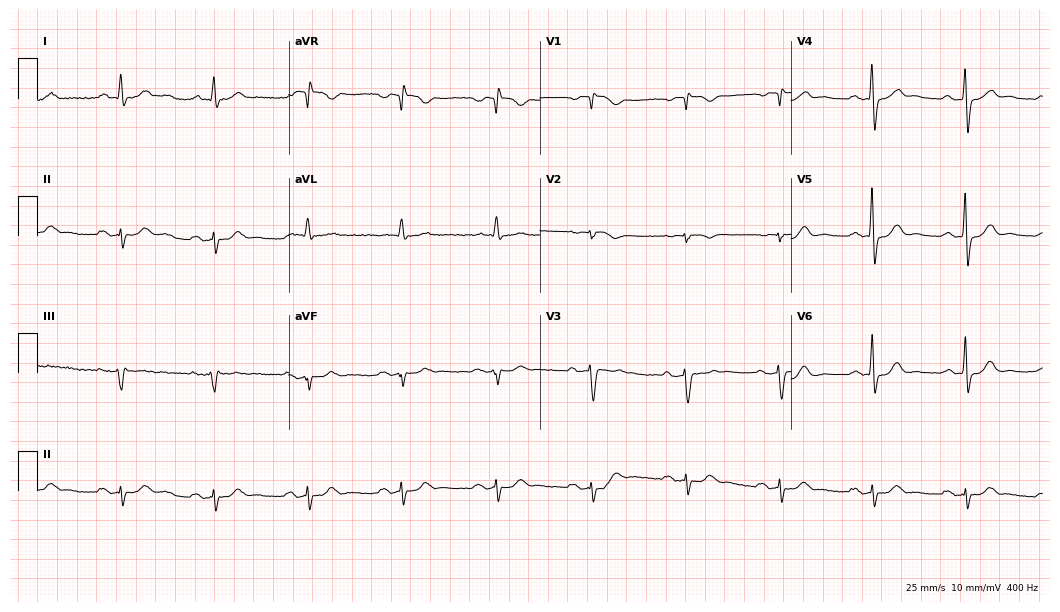
Resting 12-lead electrocardiogram (10.2-second recording at 400 Hz). Patient: a male, 74 years old. None of these six findings is recorded: first-degree AV block, right bundle branch block, left bundle branch block, sinus bradycardia, atrial fibrillation, sinus tachycardia. Other findings, if any, are not listed.